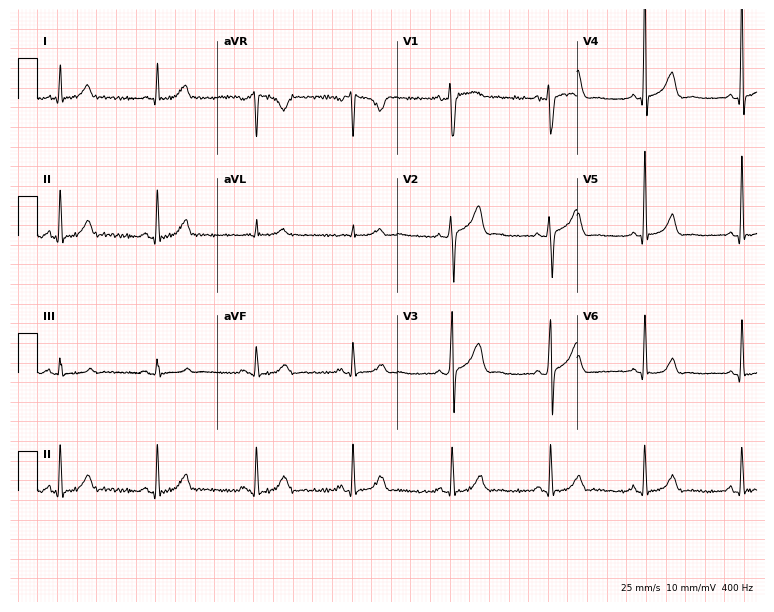
12-lead ECG (7.3-second recording at 400 Hz) from a male patient, 47 years old. Labelled as a normal ECG.